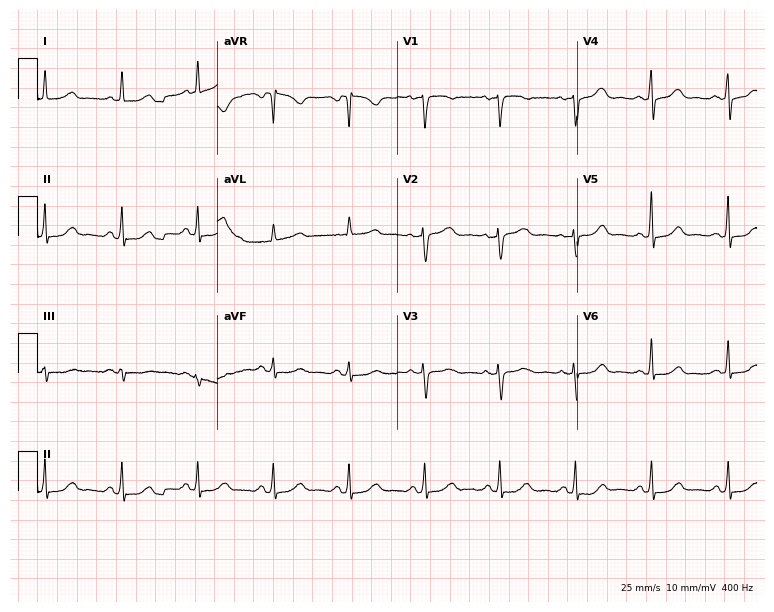
Standard 12-lead ECG recorded from a 54-year-old woman. Read as a normal ECG.